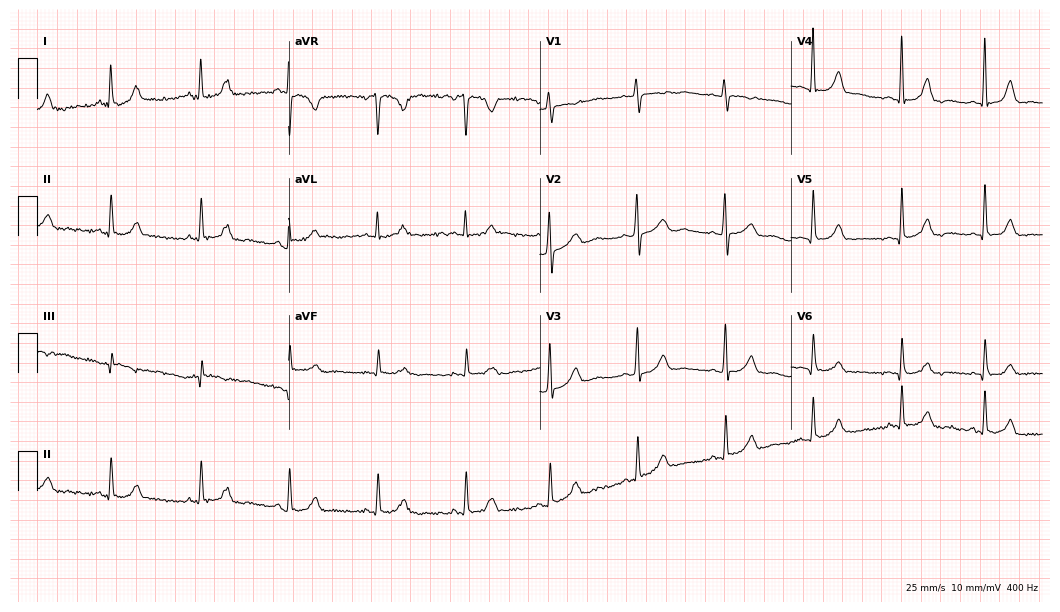
Resting 12-lead electrocardiogram. Patient: a female, 32 years old. Read as a normal ECG.